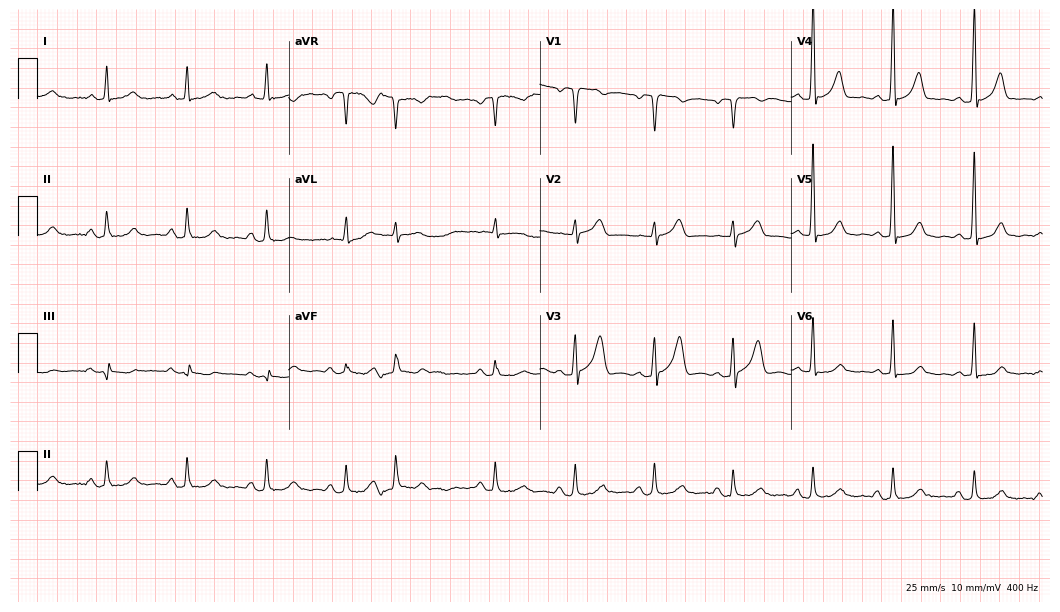
12-lead ECG from a 64-year-old male. Recorded interpretation: within normal limits.